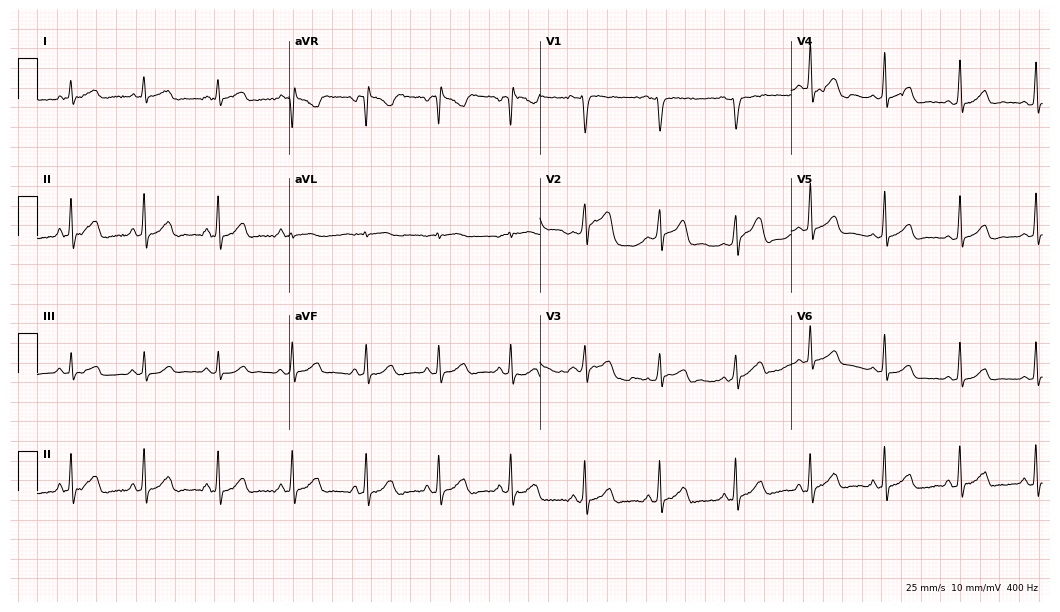
12-lead ECG (10.2-second recording at 400 Hz) from a male patient, 30 years old. Labelled as a normal ECG.